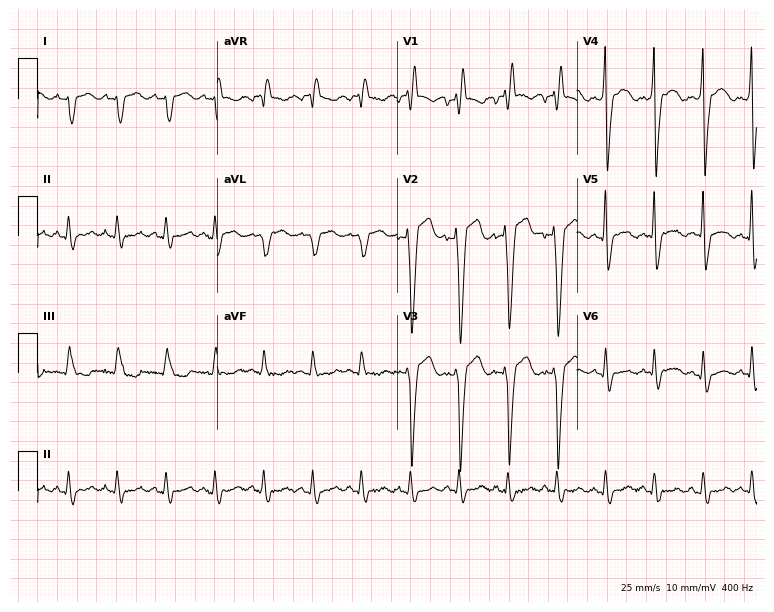
12-lead ECG from a male patient, 44 years old (7.3-second recording at 400 Hz). Shows right bundle branch block.